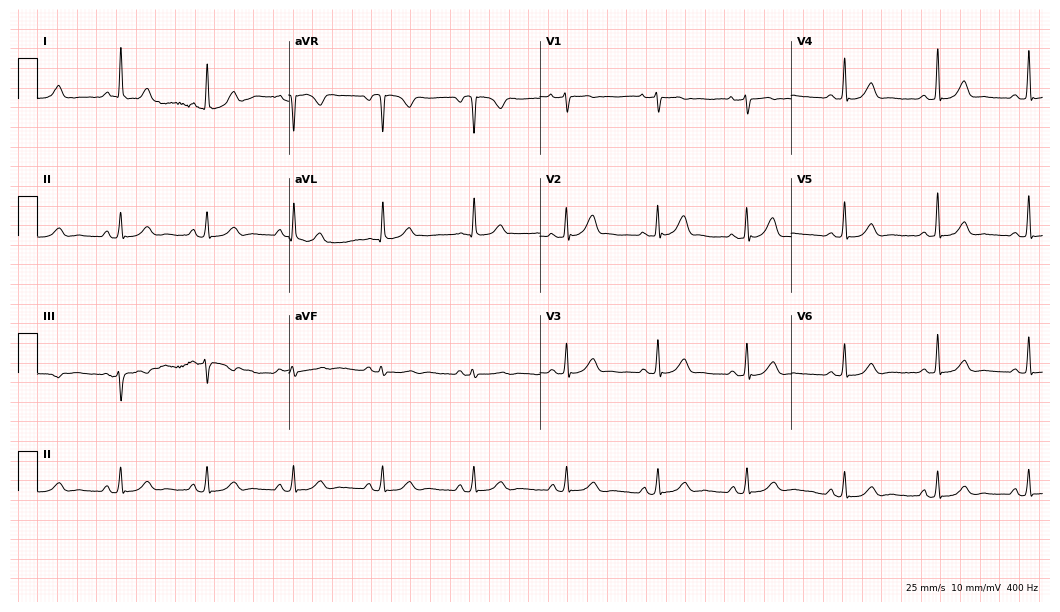
Resting 12-lead electrocardiogram. Patient: a woman, 63 years old. Read as a normal ECG.